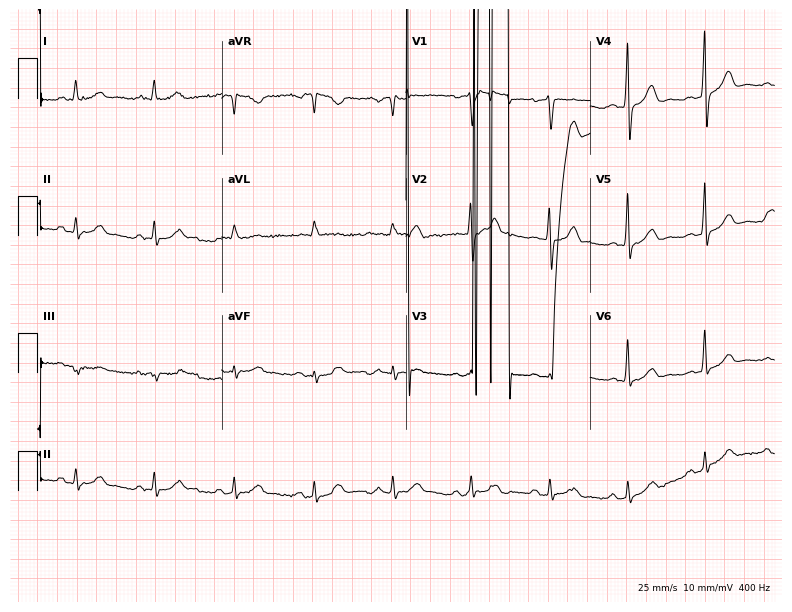
12-lead ECG from a male, 53 years old. No first-degree AV block, right bundle branch block, left bundle branch block, sinus bradycardia, atrial fibrillation or sinus tachycardia recorded for this tracing. Other findings, if any, are not listed.